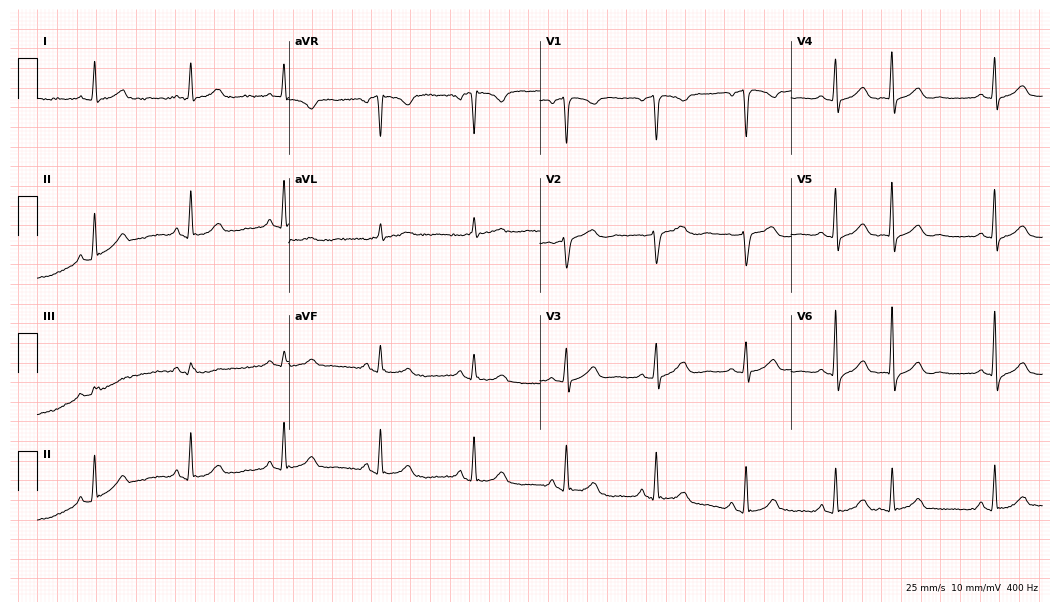
Standard 12-lead ECG recorded from a man, 45 years old. None of these six findings is recorded: first-degree AV block, right bundle branch block, left bundle branch block, sinus bradycardia, atrial fibrillation, sinus tachycardia. Other findings, if any, are not listed.